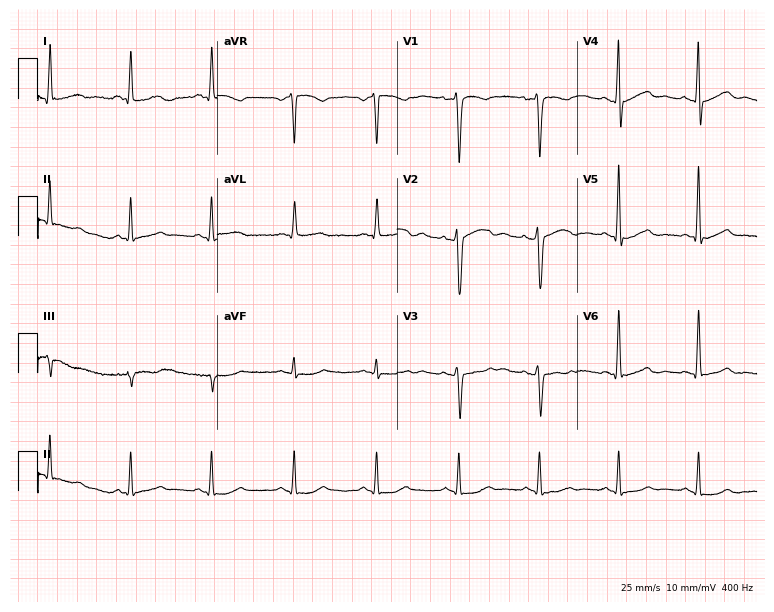
ECG — a female patient, 44 years old. Screened for six findings — first-degree AV block, right bundle branch block (RBBB), left bundle branch block (LBBB), sinus bradycardia, atrial fibrillation (AF), sinus tachycardia — none is recorded. Other findings, if any, are not listed.